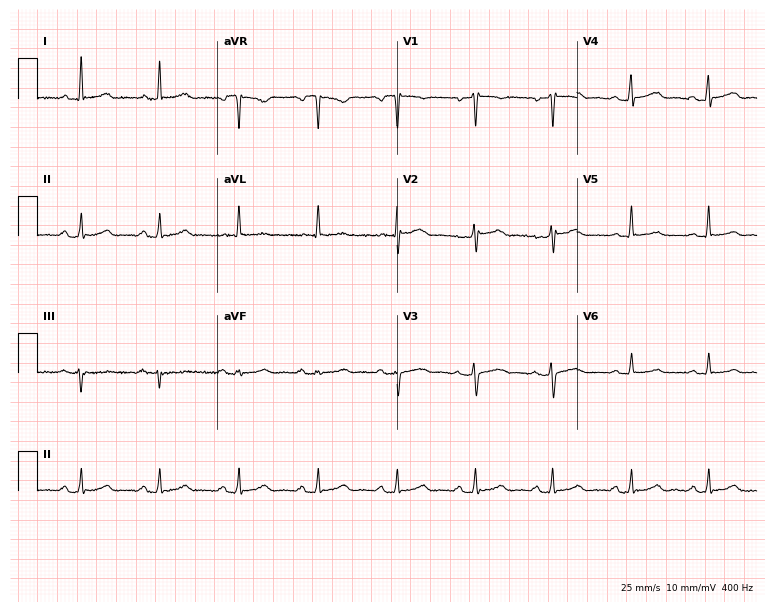
12-lead ECG from a 31-year-old female (7.3-second recording at 400 Hz). No first-degree AV block, right bundle branch block (RBBB), left bundle branch block (LBBB), sinus bradycardia, atrial fibrillation (AF) or sinus tachycardia recorded for this tracing. Other findings, if any, are not listed.